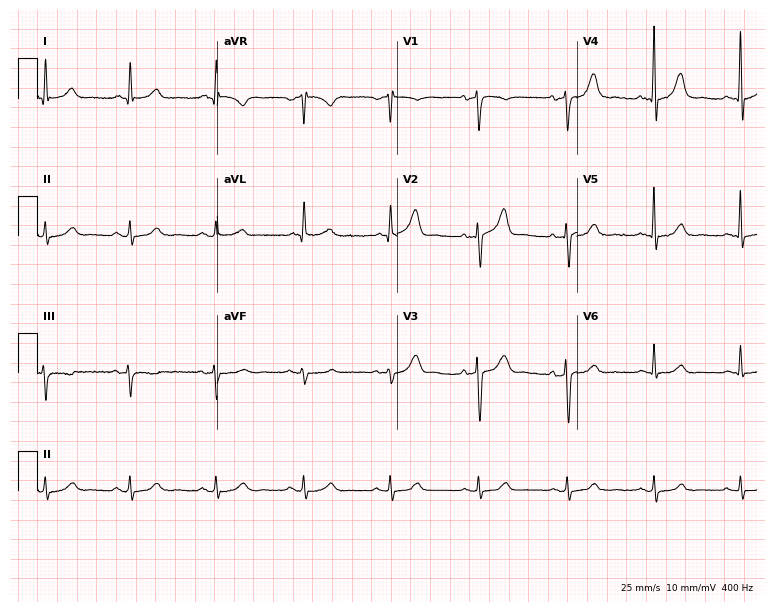
12-lead ECG (7.3-second recording at 400 Hz) from an 83-year-old man. Labelled as a normal ECG.